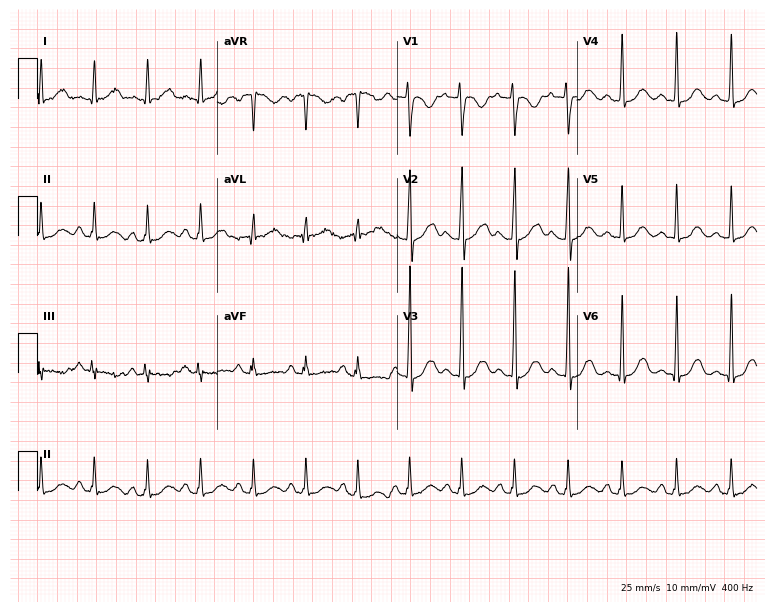
Resting 12-lead electrocardiogram. Patient: a female, 25 years old. The tracing shows sinus tachycardia (a sinus rate of 100 beats per minute or more).